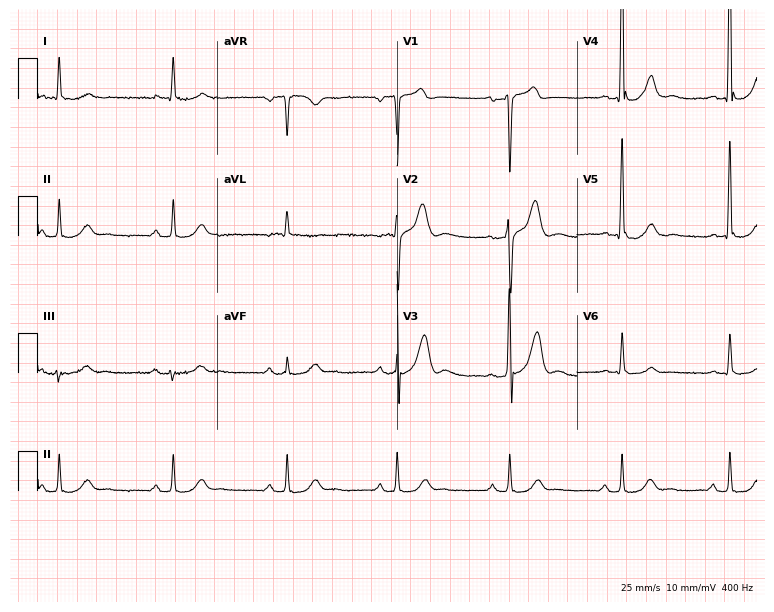
Electrocardiogram, a 69-year-old male patient. Overall reading on record: normal ECG.